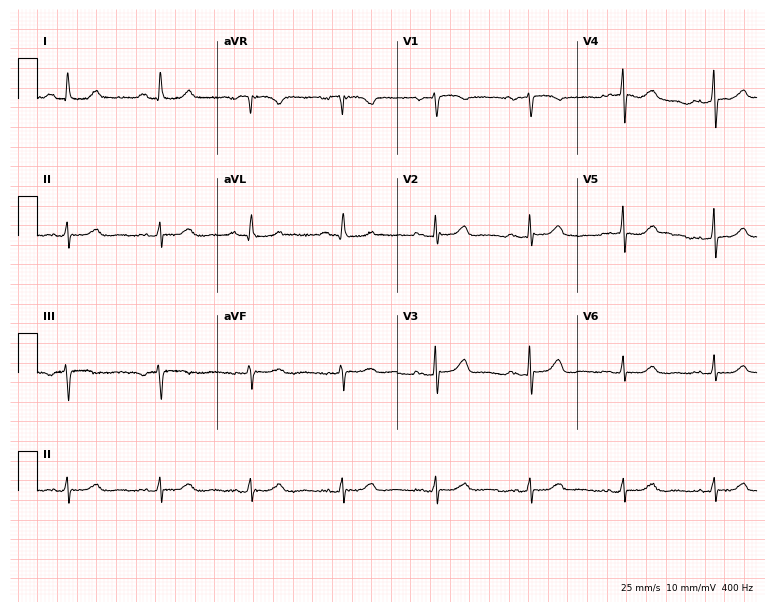
Standard 12-lead ECG recorded from a 68-year-old female. None of these six findings is recorded: first-degree AV block, right bundle branch block (RBBB), left bundle branch block (LBBB), sinus bradycardia, atrial fibrillation (AF), sinus tachycardia. Other findings, if any, are not listed.